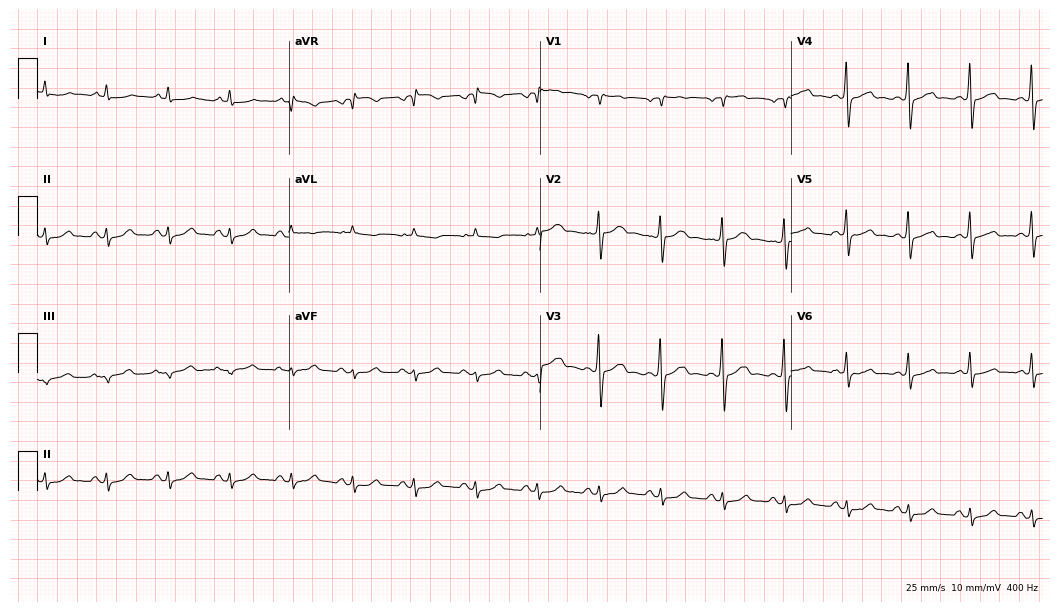
Resting 12-lead electrocardiogram (10.2-second recording at 400 Hz). Patient: a male, 58 years old. None of these six findings is recorded: first-degree AV block, right bundle branch block (RBBB), left bundle branch block (LBBB), sinus bradycardia, atrial fibrillation (AF), sinus tachycardia.